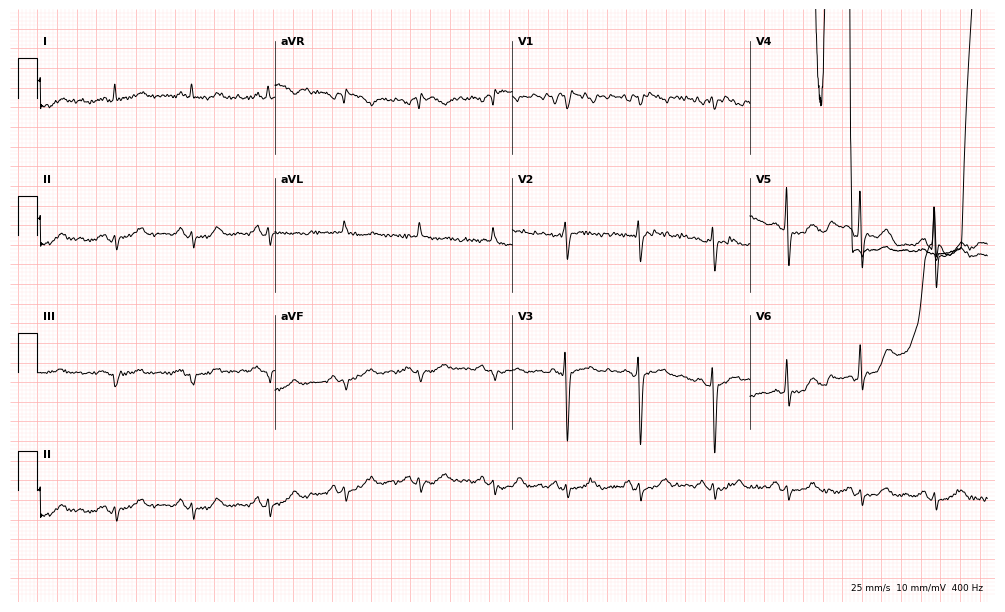
Resting 12-lead electrocardiogram (9.7-second recording at 400 Hz). Patient: a 63-year-old man. Read as a normal ECG.